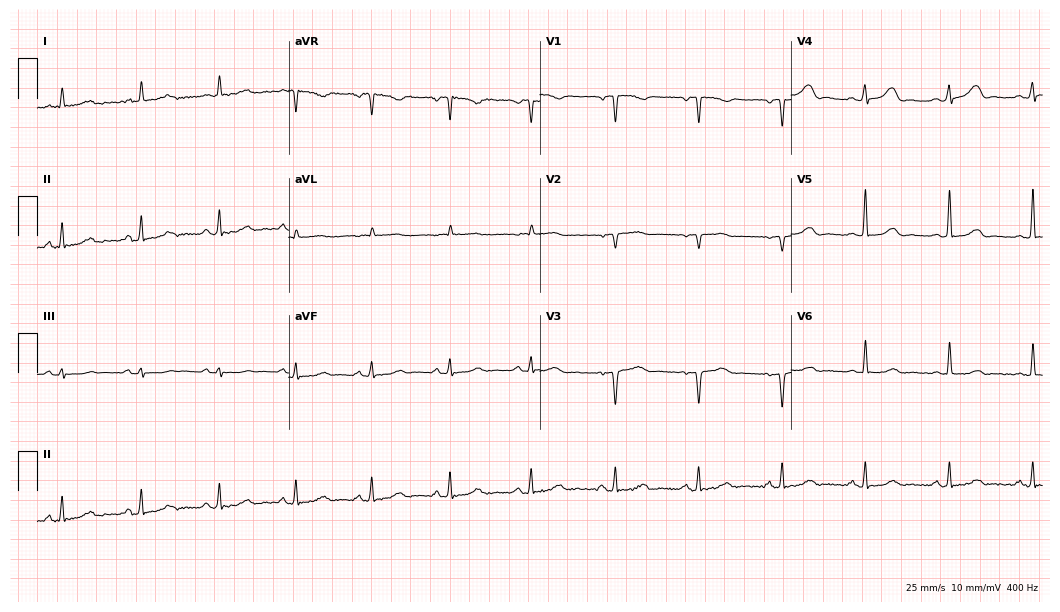
Electrocardiogram, a female patient, 50 years old. Overall reading on record: normal ECG.